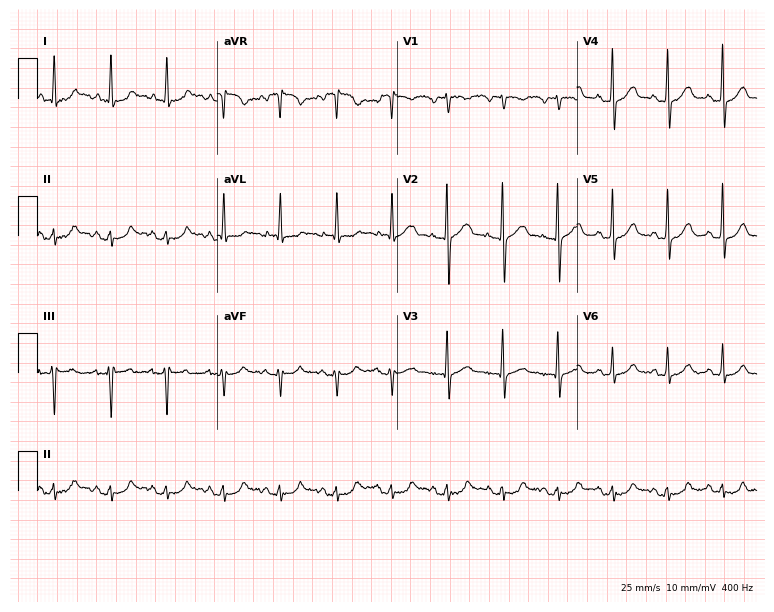
12-lead ECG from a 64-year-old male. Shows sinus tachycardia (a sinus rate of 100 beats per minute or more).